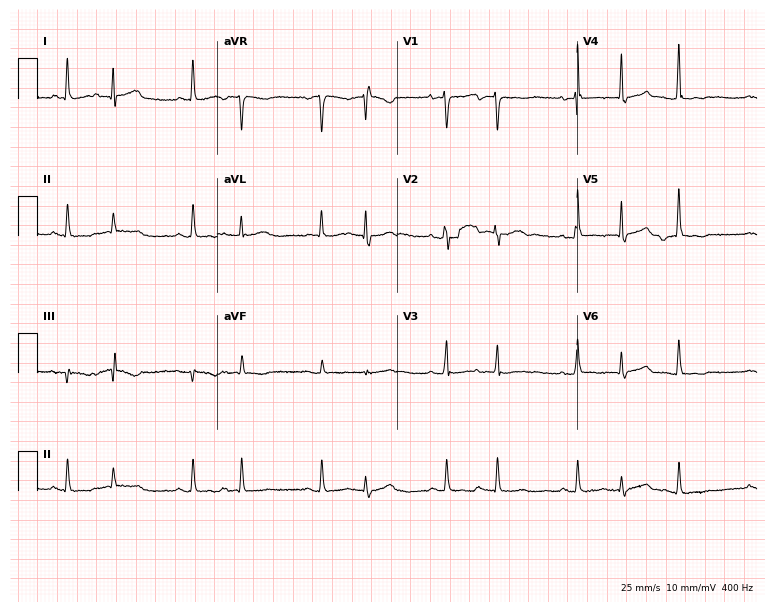
12-lead ECG from a 73-year-old woman. No first-degree AV block, right bundle branch block (RBBB), left bundle branch block (LBBB), sinus bradycardia, atrial fibrillation (AF) or sinus tachycardia recorded for this tracing. Other findings, if any, are not listed.